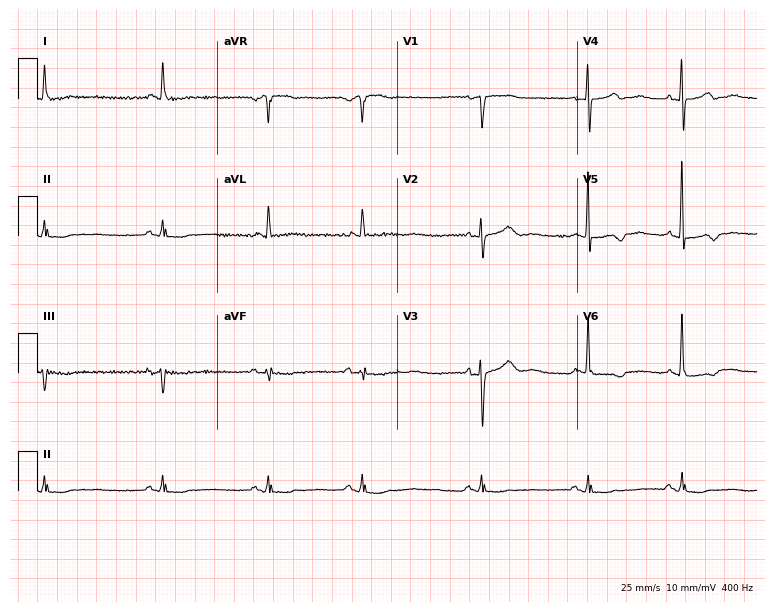
ECG — a 74-year-old female. Screened for six findings — first-degree AV block, right bundle branch block (RBBB), left bundle branch block (LBBB), sinus bradycardia, atrial fibrillation (AF), sinus tachycardia — none is recorded. Findings outside these six are not listed.